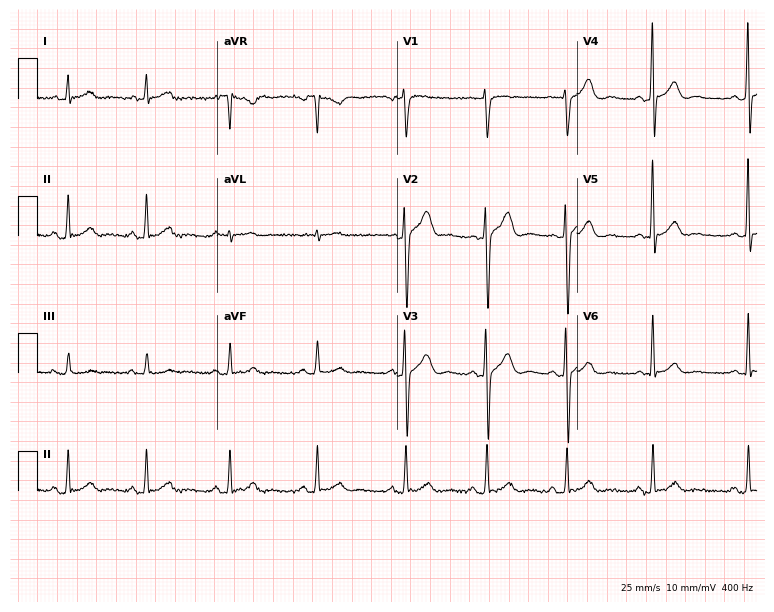
ECG (7.3-second recording at 400 Hz) — a 30-year-old male. Labelled as a normal ECG.